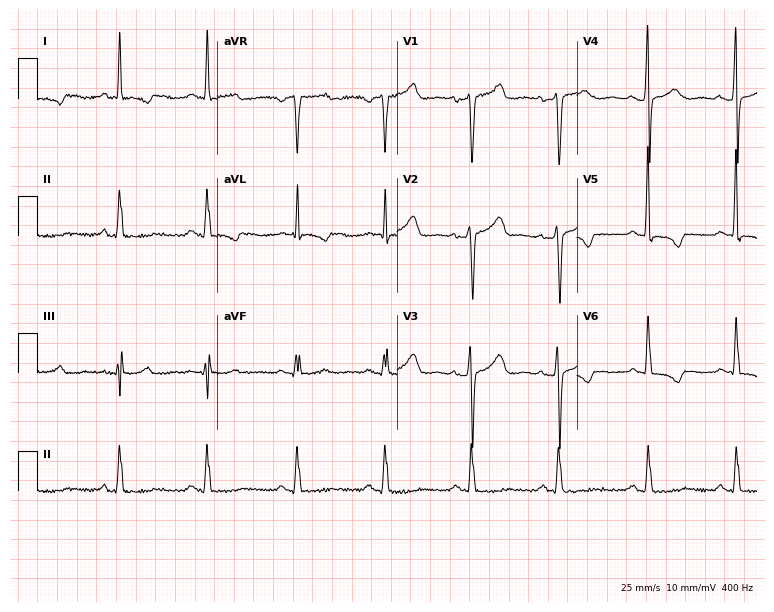
Standard 12-lead ECG recorded from a woman, 51 years old (7.3-second recording at 400 Hz). None of these six findings is recorded: first-degree AV block, right bundle branch block (RBBB), left bundle branch block (LBBB), sinus bradycardia, atrial fibrillation (AF), sinus tachycardia. Findings outside these six are not listed.